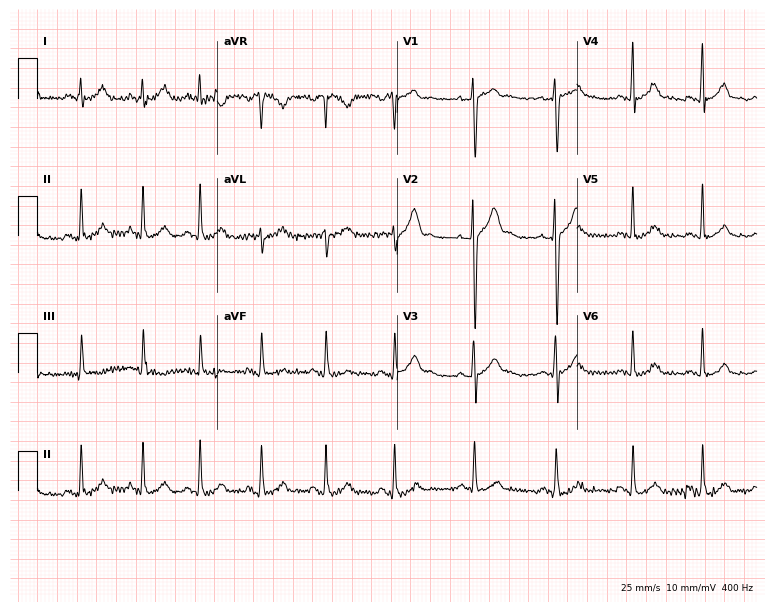
Standard 12-lead ECG recorded from a male, 23 years old (7.3-second recording at 400 Hz). None of these six findings is recorded: first-degree AV block, right bundle branch block (RBBB), left bundle branch block (LBBB), sinus bradycardia, atrial fibrillation (AF), sinus tachycardia.